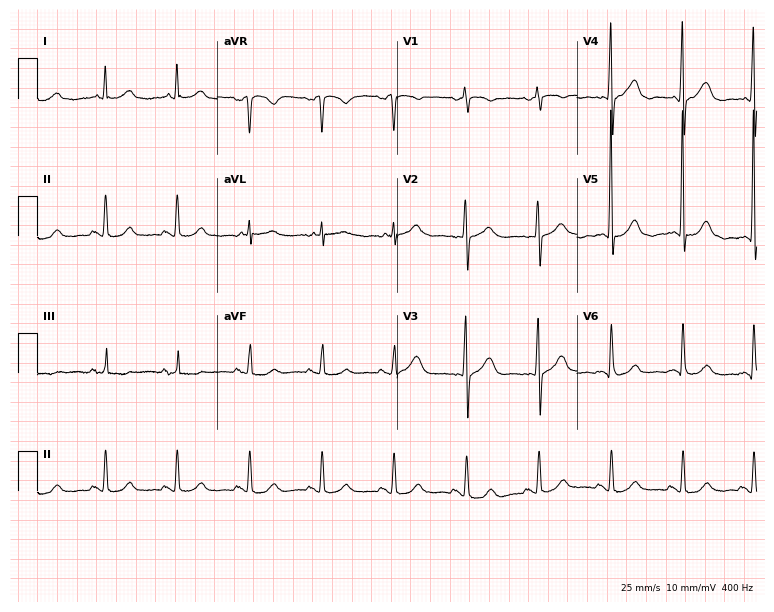
12-lead ECG from a 67-year-old female. Recorded interpretation: within normal limits.